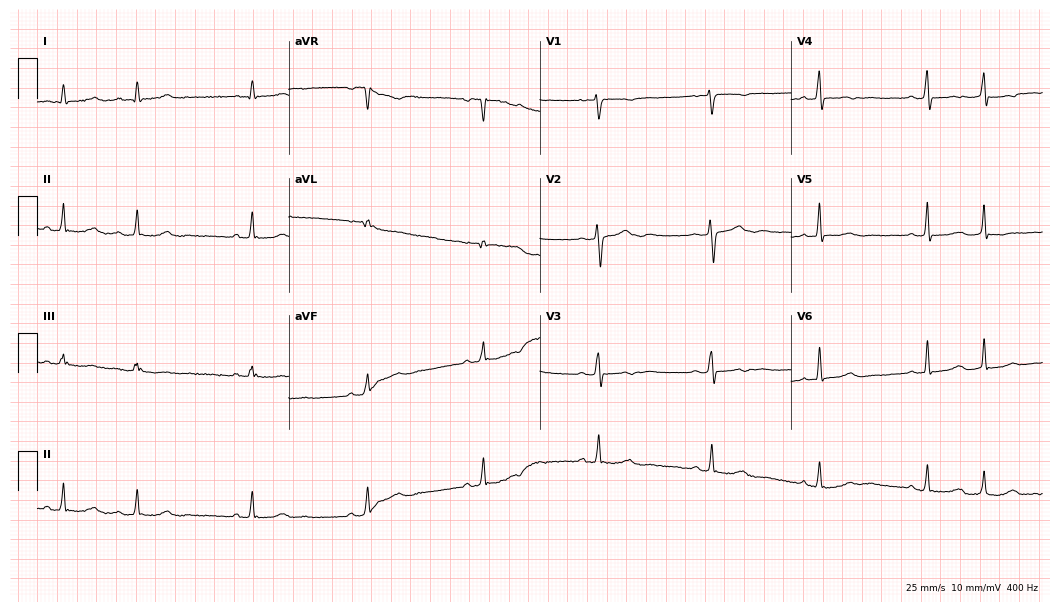
12-lead ECG from a female, 20 years old. Screened for six findings — first-degree AV block, right bundle branch block (RBBB), left bundle branch block (LBBB), sinus bradycardia, atrial fibrillation (AF), sinus tachycardia — none is recorded.